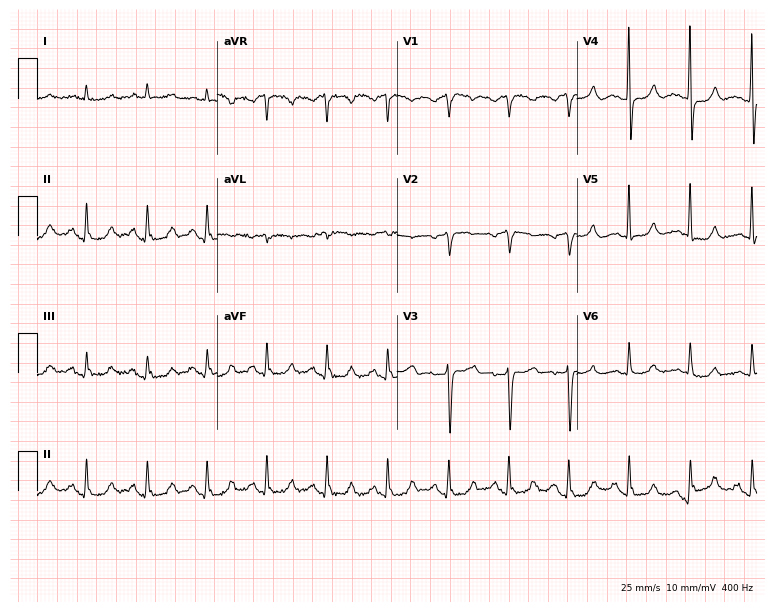
Resting 12-lead electrocardiogram (7.3-second recording at 400 Hz). Patient: a 70-year-old male. Read as a normal ECG.